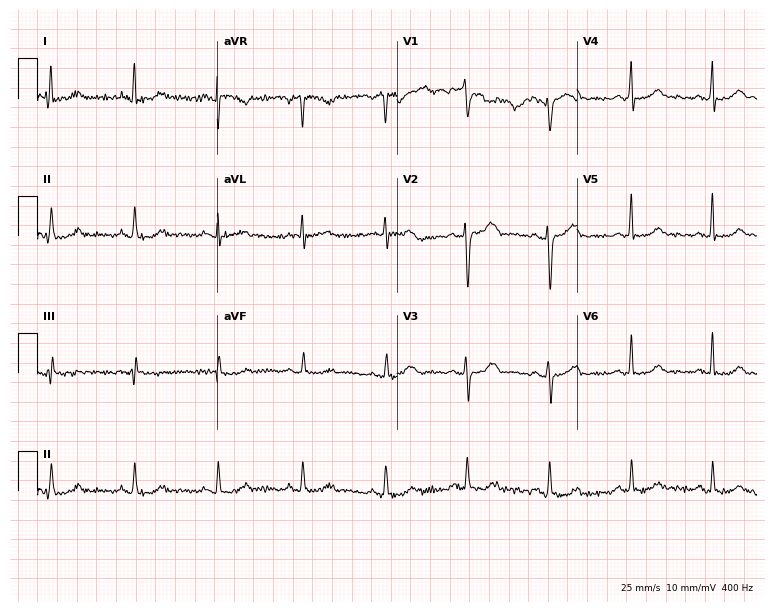
ECG — a female, 54 years old. Screened for six findings — first-degree AV block, right bundle branch block, left bundle branch block, sinus bradycardia, atrial fibrillation, sinus tachycardia — none is recorded.